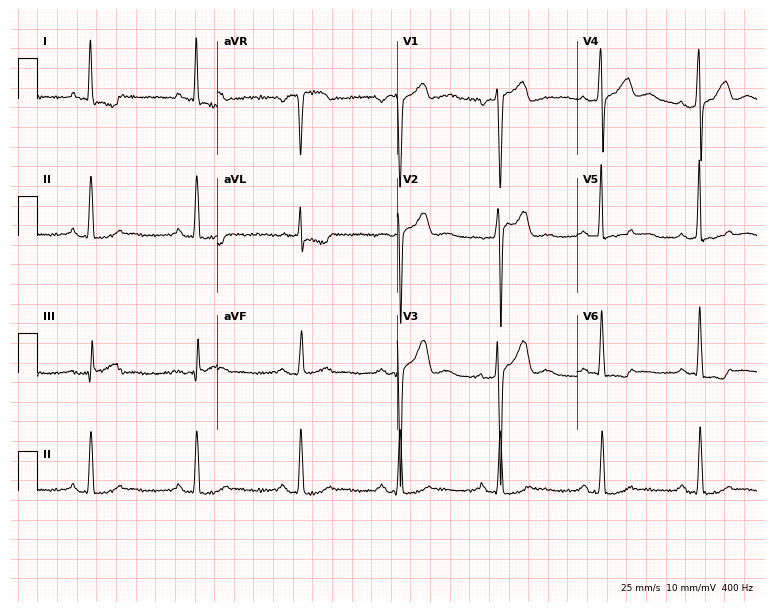
Resting 12-lead electrocardiogram (7.3-second recording at 400 Hz). Patient: a 42-year-old male. None of these six findings is recorded: first-degree AV block, right bundle branch block (RBBB), left bundle branch block (LBBB), sinus bradycardia, atrial fibrillation (AF), sinus tachycardia.